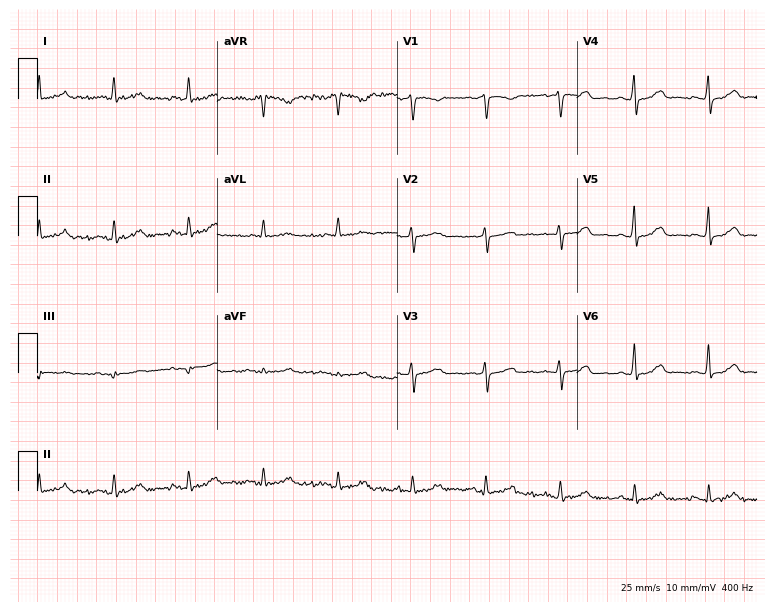
Resting 12-lead electrocardiogram (7.3-second recording at 400 Hz). Patient: a 63-year-old female. None of these six findings is recorded: first-degree AV block, right bundle branch block, left bundle branch block, sinus bradycardia, atrial fibrillation, sinus tachycardia.